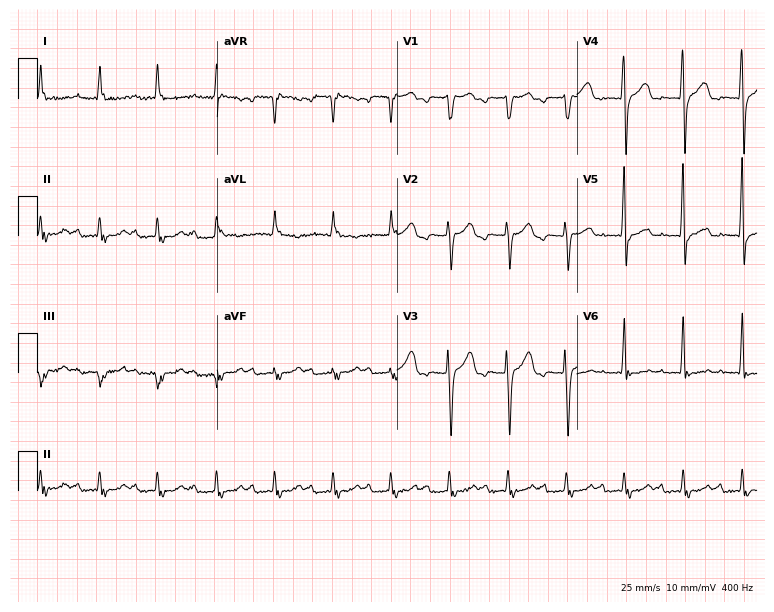
12-lead ECG from an 83-year-old woman. Findings include first-degree AV block.